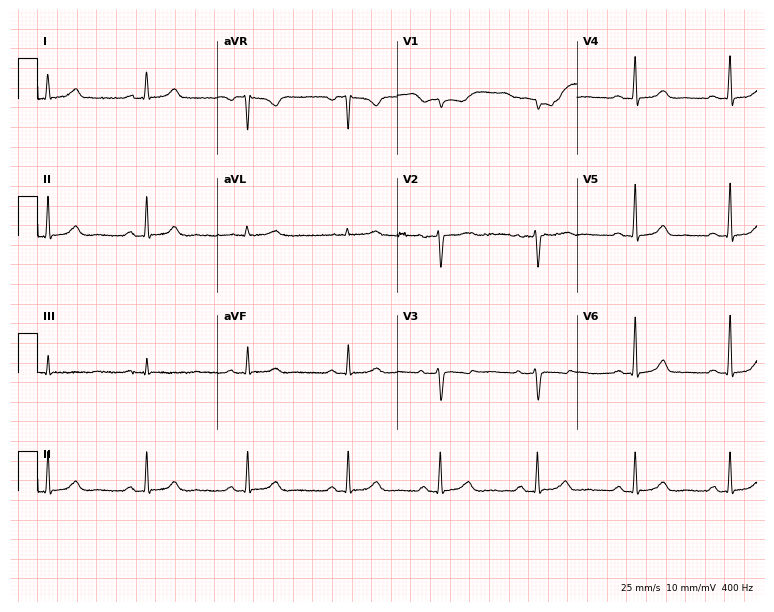
Electrocardiogram (7.3-second recording at 400 Hz), a 44-year-old female patient. Overall reading on record: normal ECG.